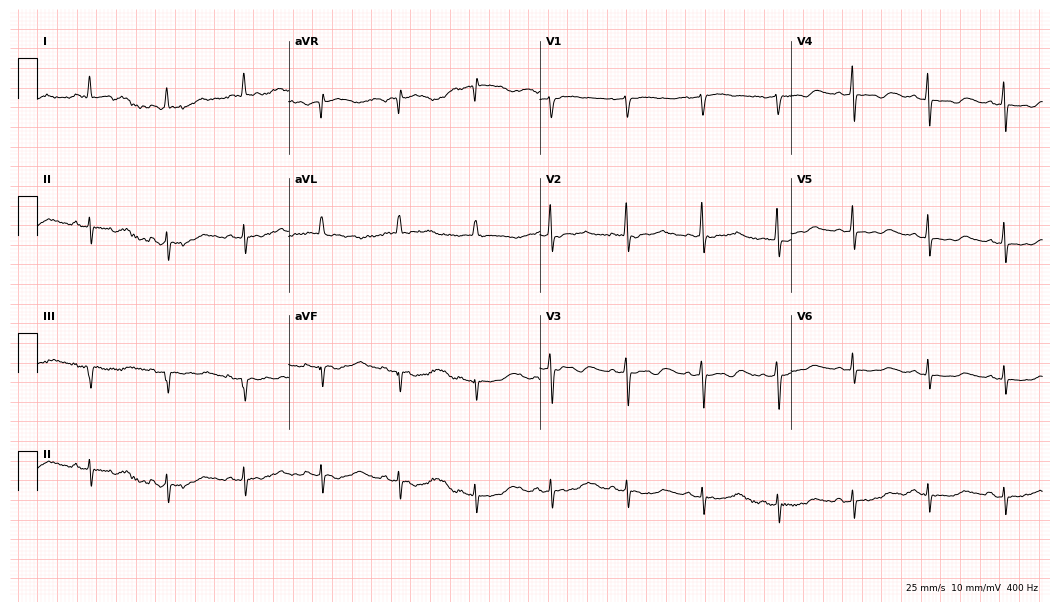
12-lead ECG from an 80-year-old female. Screened for six findings — first-degree AV block, right bundle branch block (RBBB), left bundle branch block (LBBB), sinus bradycardia, atrial fibrillation (AF), sinus tachycardia — none is recorded. Findings outside these six are not listed.